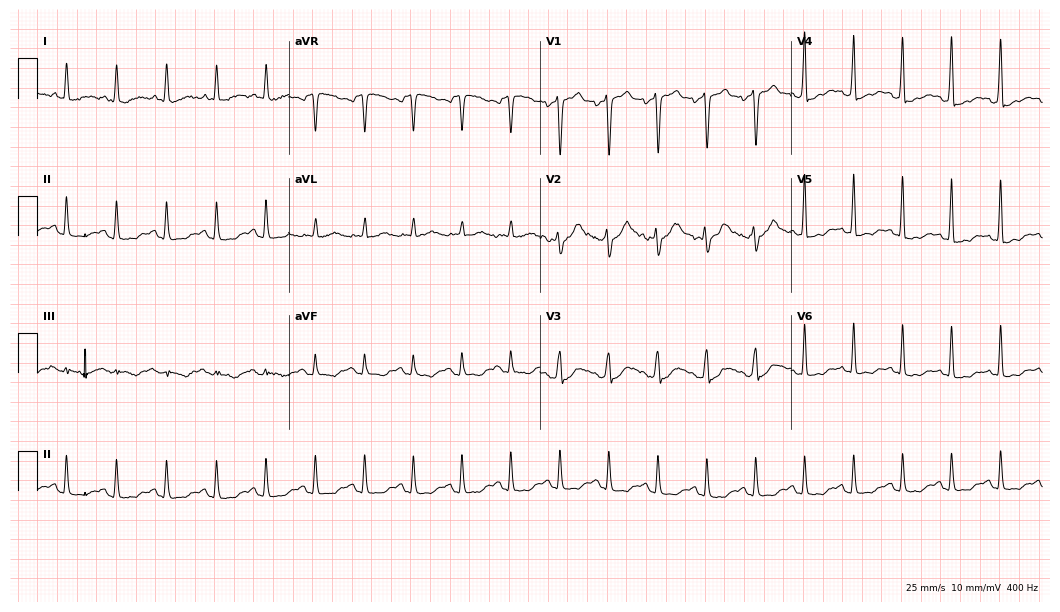
ECG (10.2-second recording at 400 Hz) — a man, 37 years old. Findings include sinus tachycardia (a sinus rate of 100 beats per minute or more).